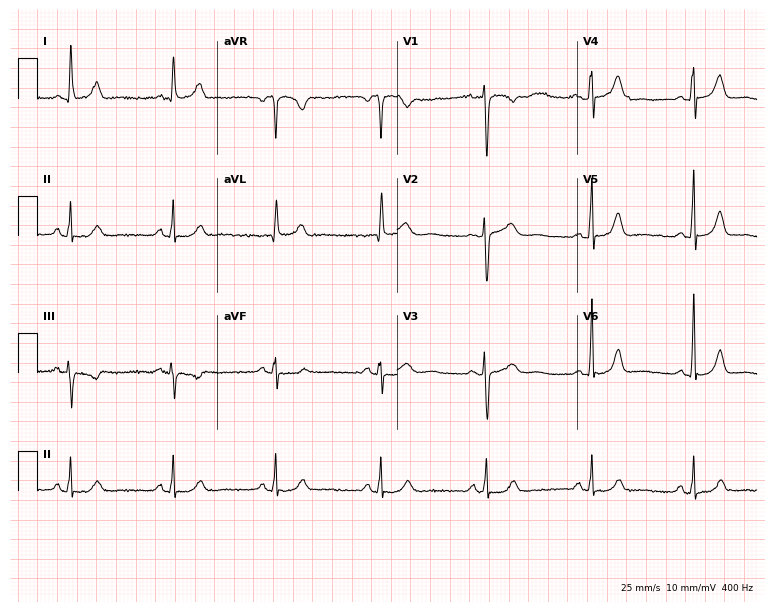
12-lead ECG from a 52-year-old female patient (7.3-second recording at 400 Hz). Recorded interpretation: within normal limits.